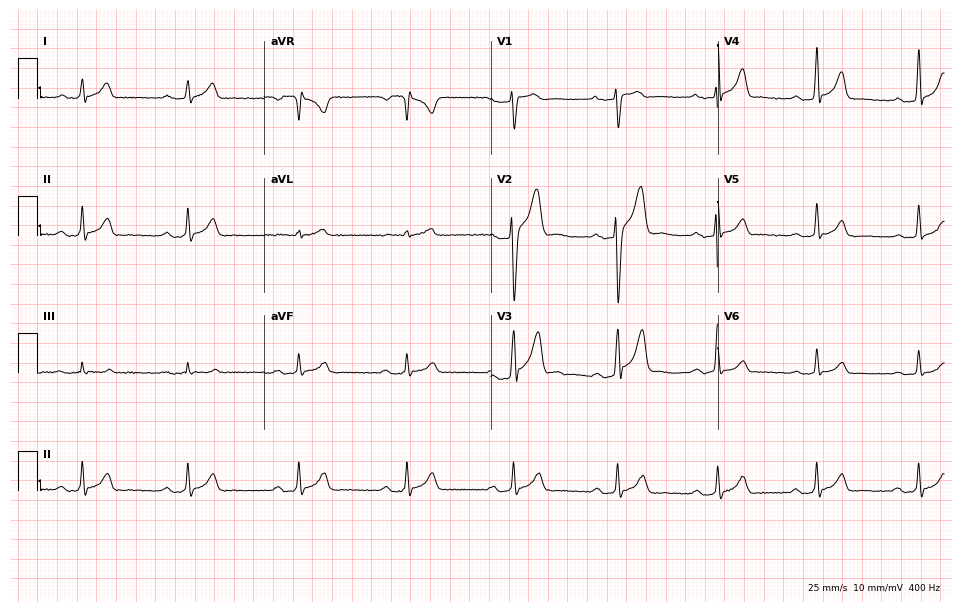
12-lead ECG from a female, 44 years old. Shows first-degree AV block.